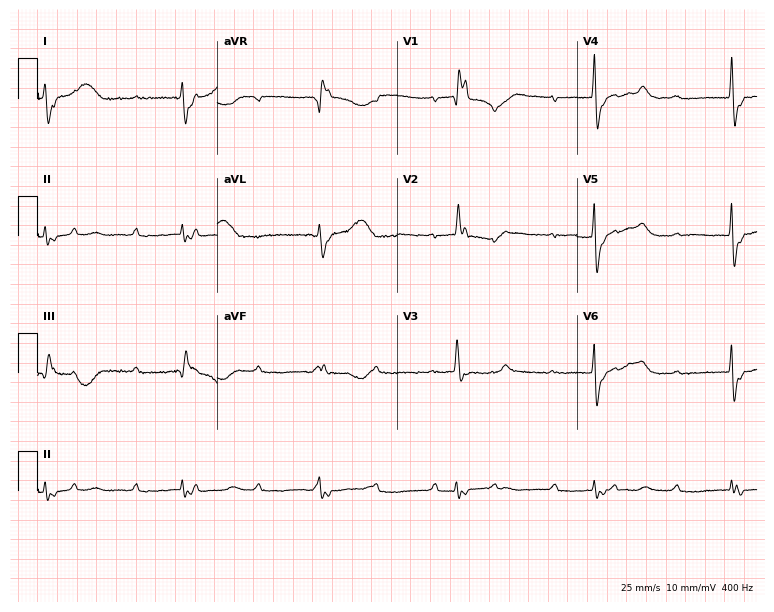
12-lead ECG (7.3-second recording at 400 Hz) from a female, 61 years old. Screened for six findings — first-degree AV block, right bundle branch block (RBBB), left bundle branch block (LBBB), sinus bradycardia, atrial fibrillation (AF), sinus tachycardia — none is recorded. Other findings, if any, are not listed.